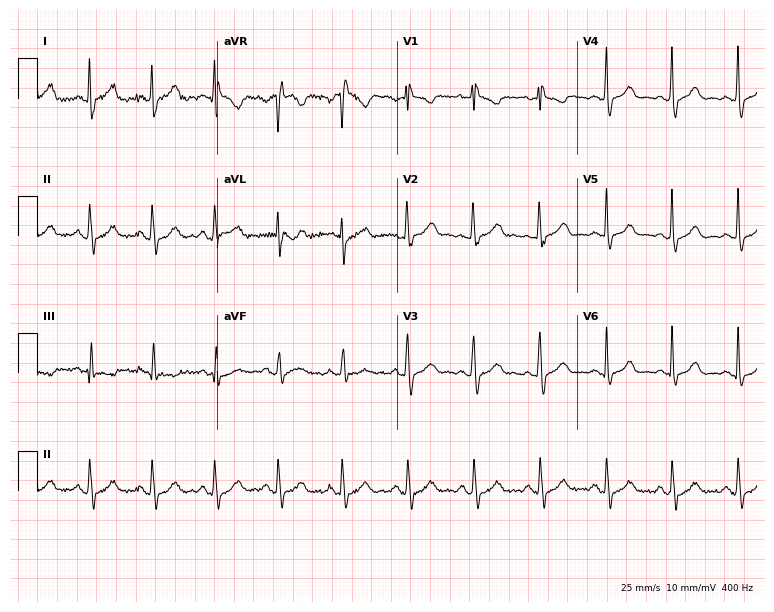
Electrocardiogram, a female, 37 years old. Of the six screened findings (first-degree AV block, right bundle branch block, left bundle branch block, sinus bradycardia, atrial fibrillation, sinus tachycardia), none is recorded. Only these six findings were labelled.